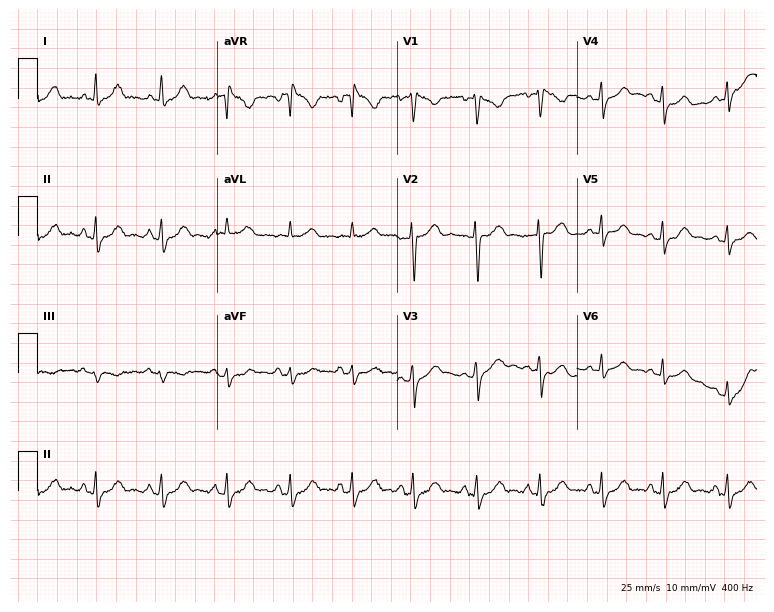
Standard 12-lead ECG recorded from a 30-year-old female (7.3-second recording at 400 Hz). None of these six findings is recorded: first-degree AV block, right bundle branch block (RBBB), left bundle branch block (LBBB), sinus bradycardia, atrial fibrillation (AF), sinus tachycardia.